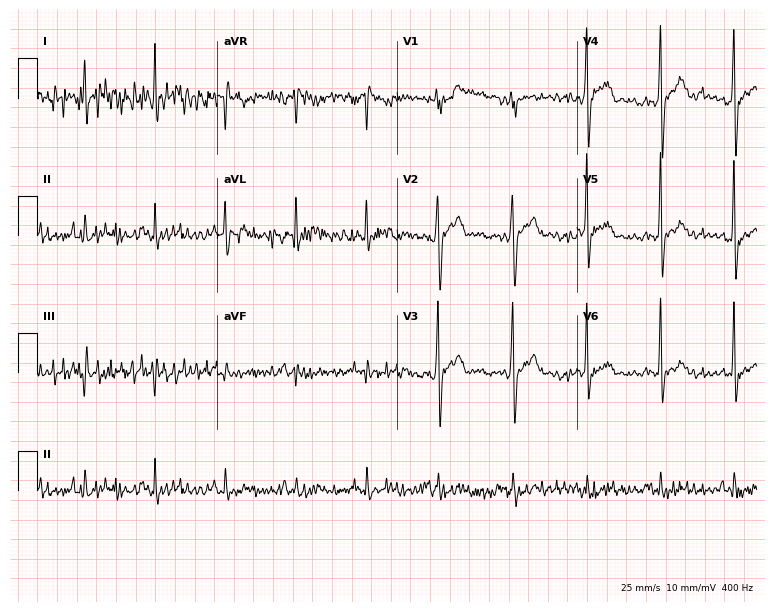
Standard 12-lead ECG recorded from a 45-year-old male. Read as a normal ECG.